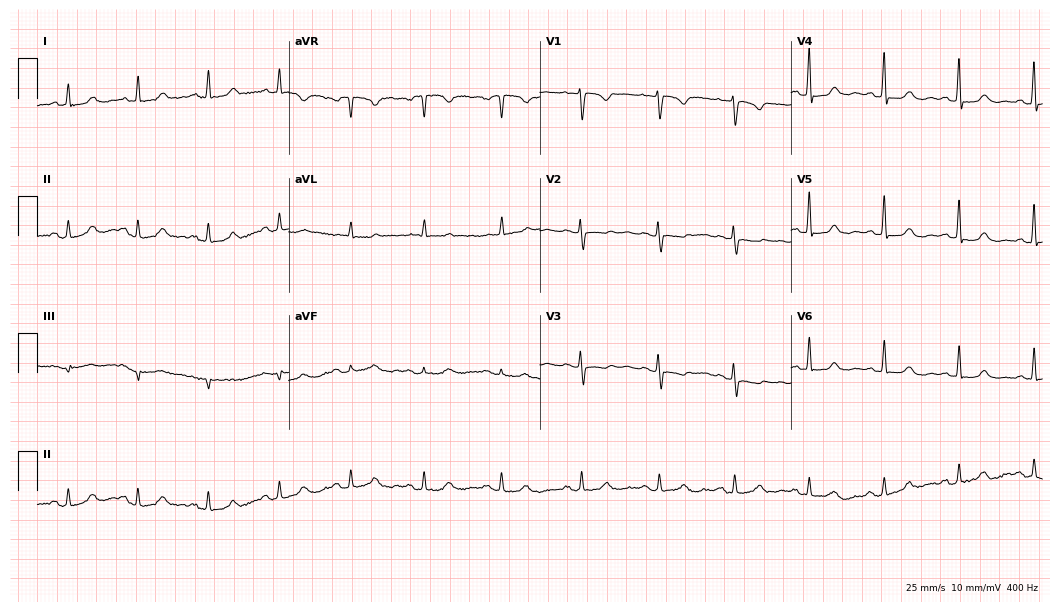
12-lead ECG (10.2-second recording at 400 Hz) from a 45-year-old woman. Screened for six findings — first-degree AV block, right bundle branch block, left bundle branch block, sinus bradycardia, atrial fibrillation, sinus tachycardia — none is recorded. Findings outside these six are not listed.